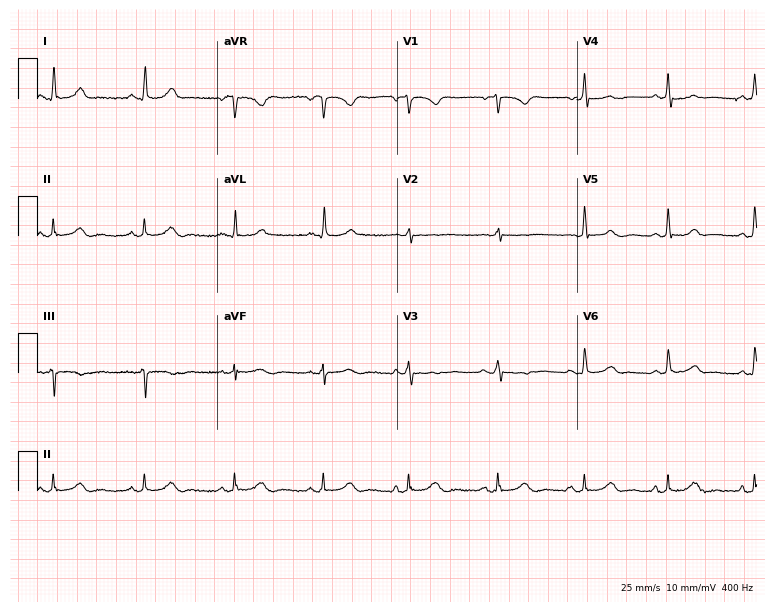
Resting 12-lead electrocardiogram. Patient: a woman, 67 years old. None of these six findings is recorded: first-degree AV block, right bundle branch block, left bundle branch block, sinus bradycardia, atrial fibrillation, sinus tachycardia.